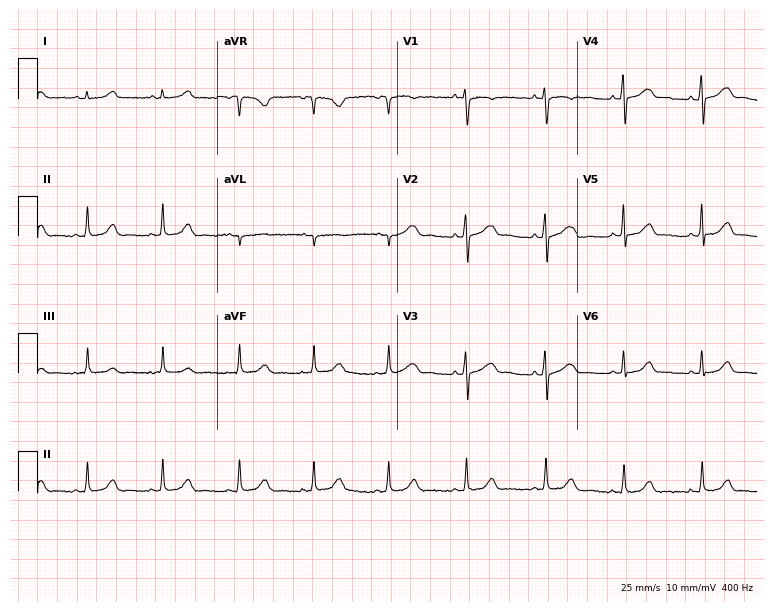
Standard 12-lead ECG recorded from a 32-year-old female patient (7.3-second recording at 400 Hz). None of these six findings is recorded: first-degree AV block, right bundle branch block, left bundle branch block, sinus bradycardia, atrial fibrillation, sinus tachycardia.